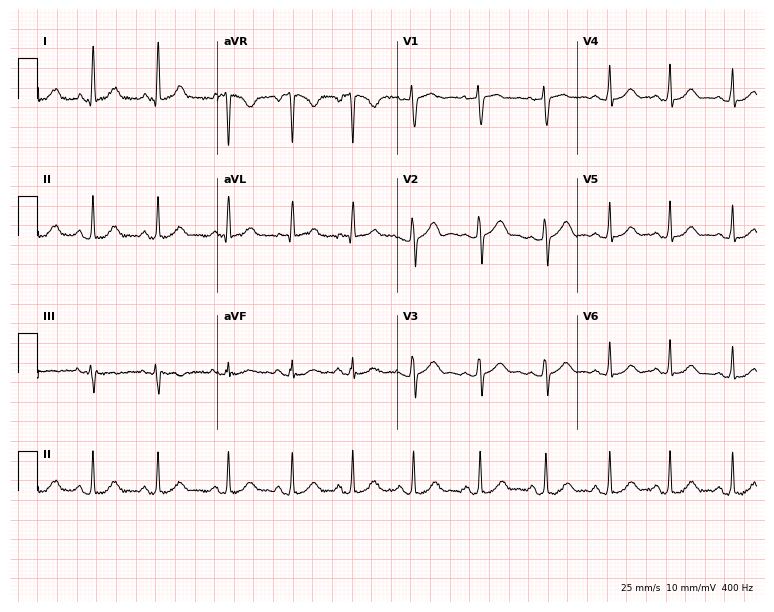
12-lead ECG from a 38-year-old female patient. Recorded interpretation: within normal limits.